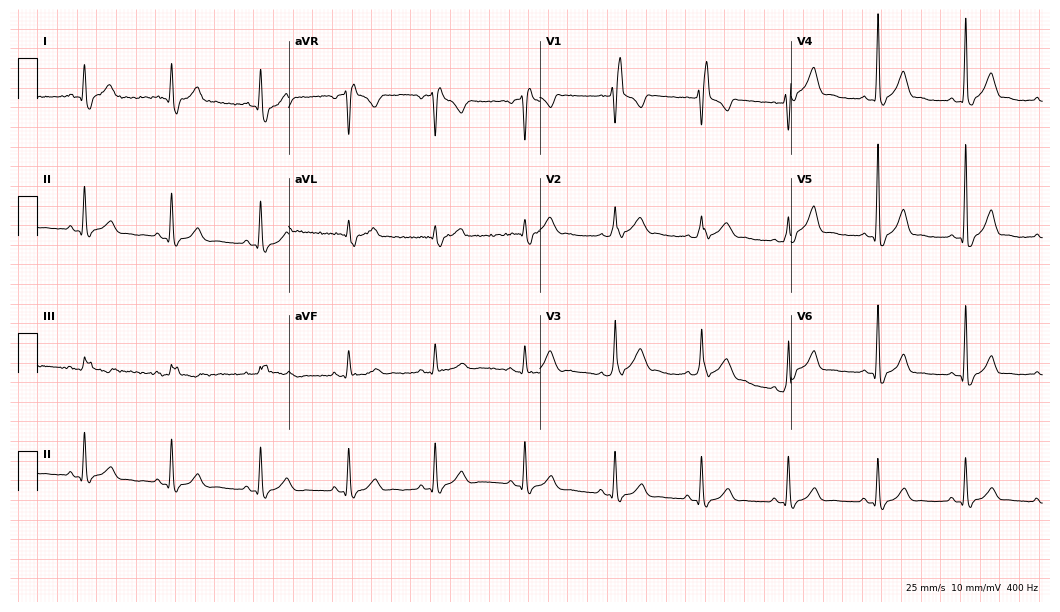
ECG (10.2-second recording at 400 Hz) — a 56-year-old male. Findings include right bundle branch block (RBBB).